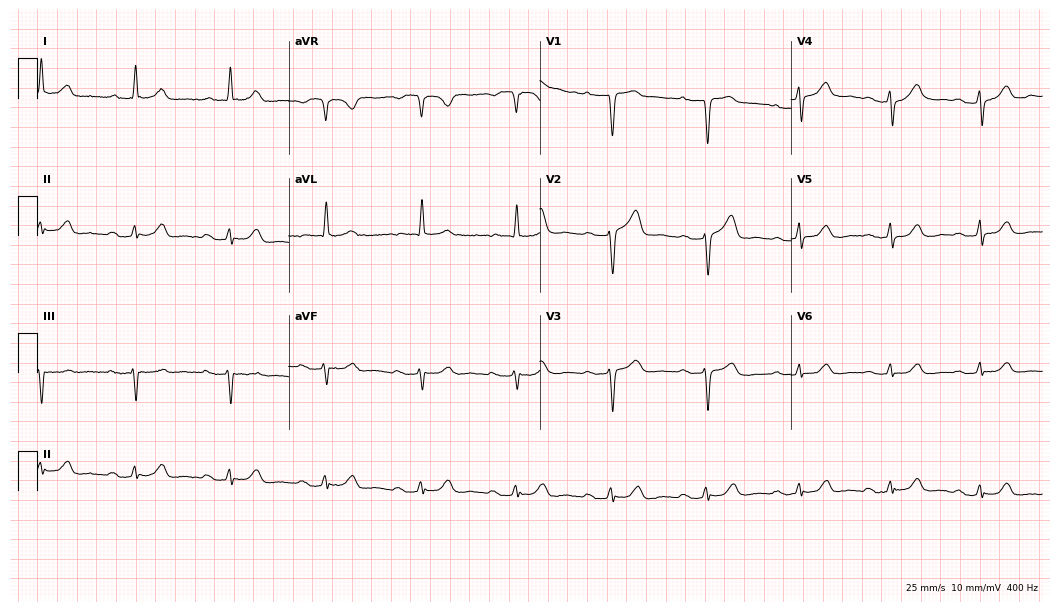
Resting 12-lead electrocardiogram (10.2-second recording at 400 Hz). Patient: an 82-year-old man. The tracing shows first-degree AV block.